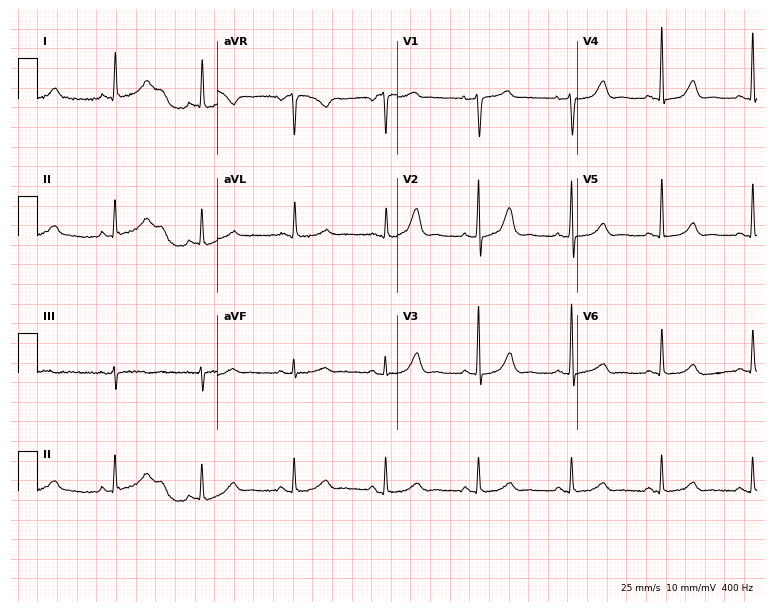
ECG — a 56-year-old woman. Screened for six findings — first-degree AV block, right bundle branch block (RBBB), left bundle branch block (LBBB), sinus bradycardia, atrial fibrillation (AF), sinus tachycardia — none is recorded. Findings outside these six are not listed.